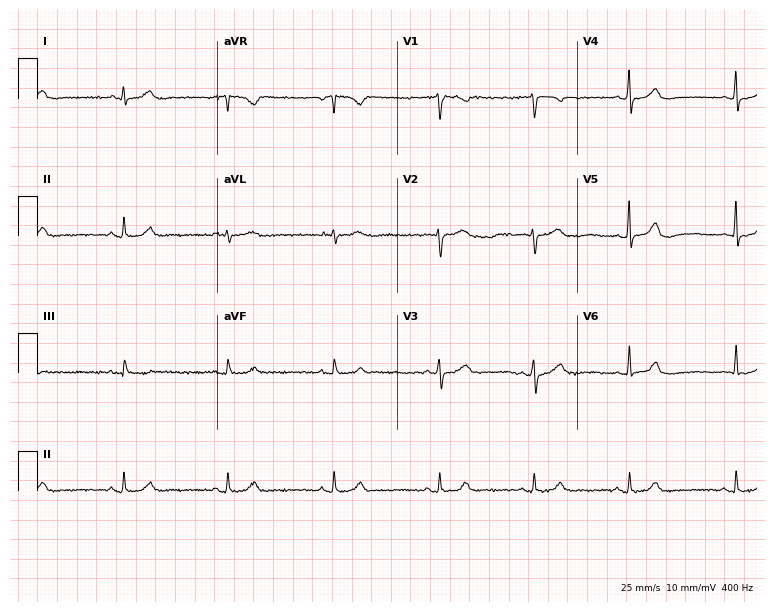
Resting 12-lead electrocardiogram. Patient: a 43-year-old female. Read as a normal ECG.